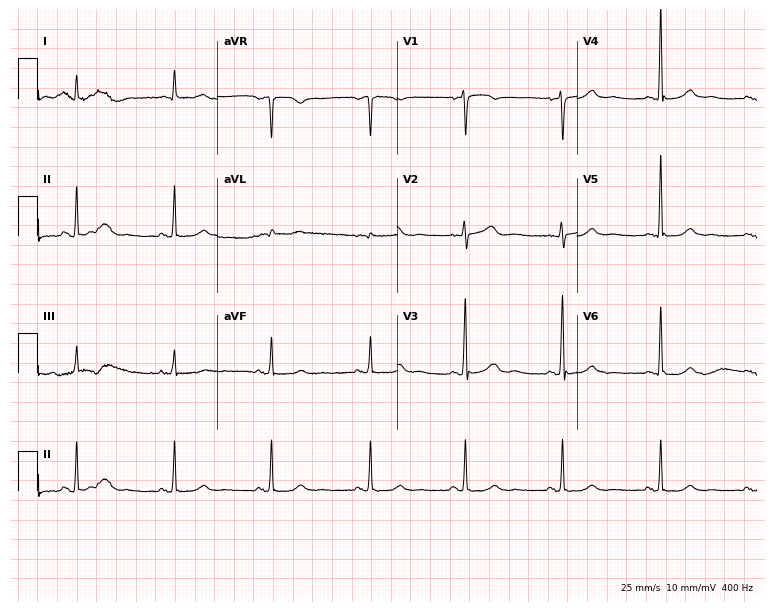
12-lead ECG (7.3-second recording at 400 Hz) from a female patient, 62 years old. Screened for six findings — first-degree AV block, right bundle branch block, left bundle branch block, sinus bradycardia, atrial fibrillation, sinus tachycardia — none is recorded. Other findings, if any, are not listed.